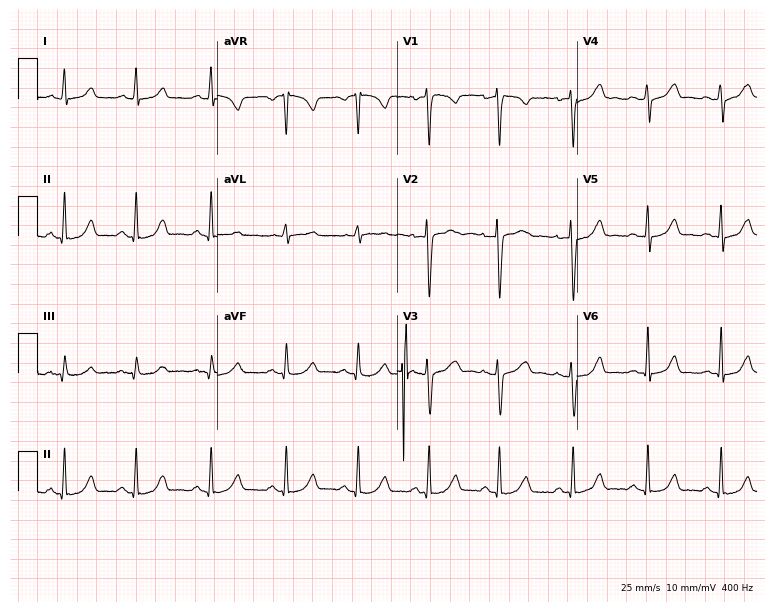
ECG (7.3-second recording at 400 Hz) — a 38-year-old woman. Labelled as a normal ECG.